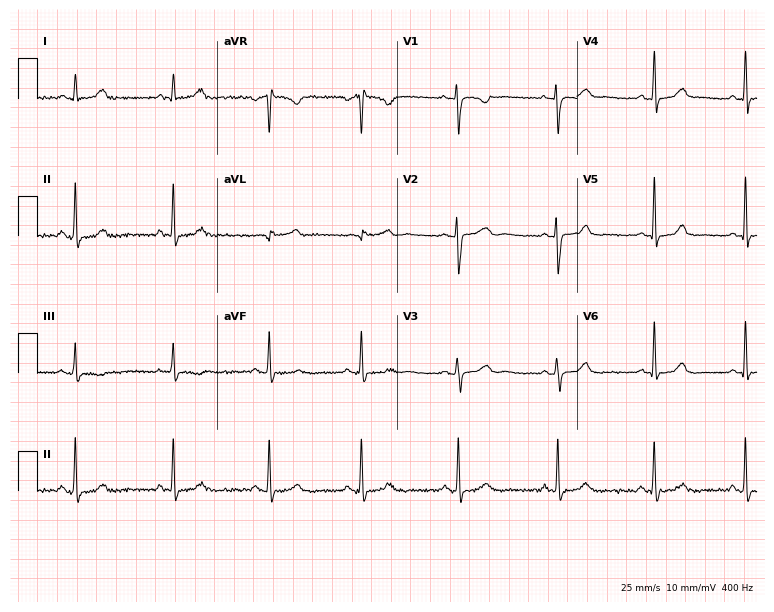
Standard 12-lead ECG recorded from a woman, 36 years old (7.3-second recording at 400 Hz). Read as a normal ECG.